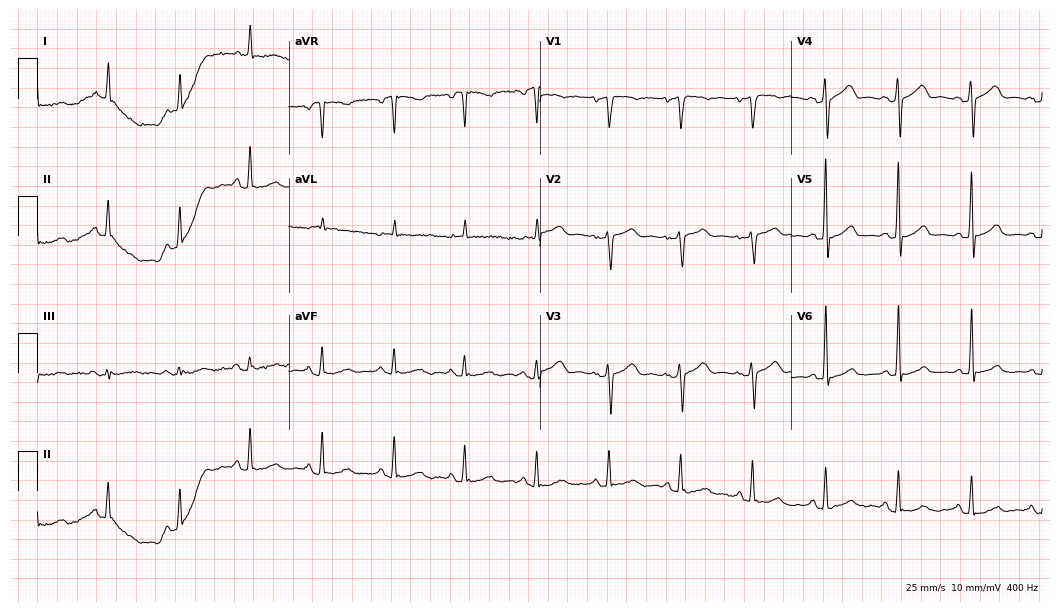
12-lead ECG from a woman, 73 years old (10.2-second recording at 400 Hz). Recorded interpretation: within normal limits.